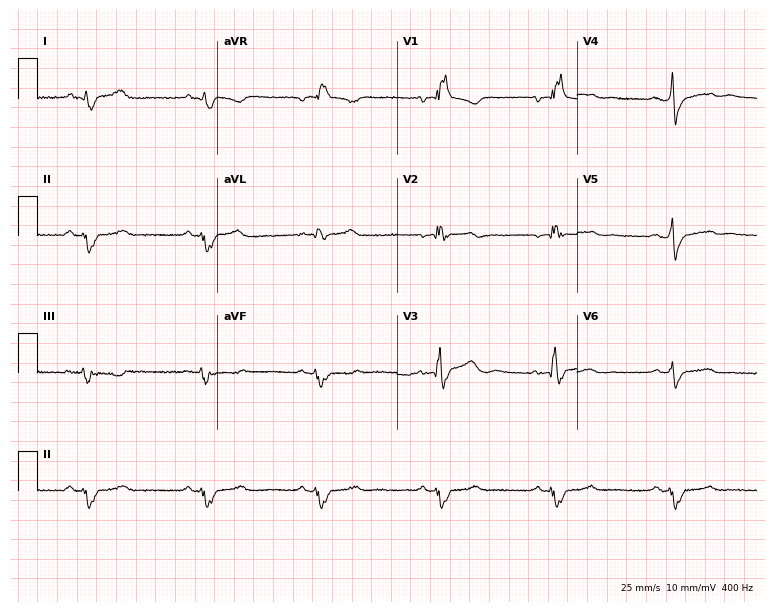
Resting 12-lead electrocardiogram (7.3-second recording at 400 Hz). Patient: a man, 48 years old. The tracing shows right bundle branch block.